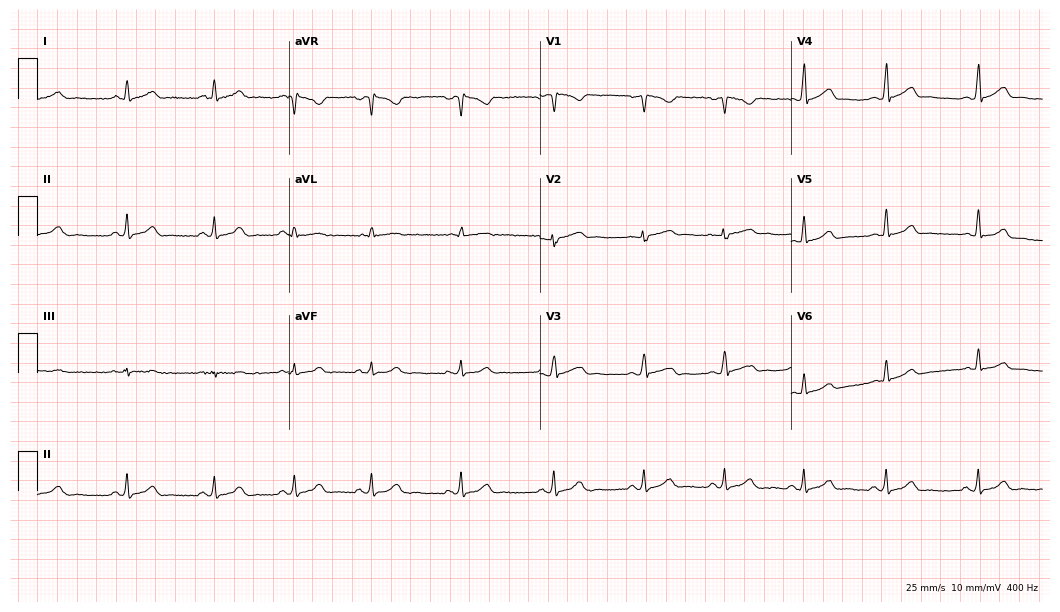
Resting 12-lead electrocardiogram (10.2-second recording at 400 Hz). Patient: a female, 27 years old. None of these six findings is recorded: first-degree AV block, right bundle branch block, left bundle branch block, sinus bradycardia, atrial fibrillation, sinus tachycardia.